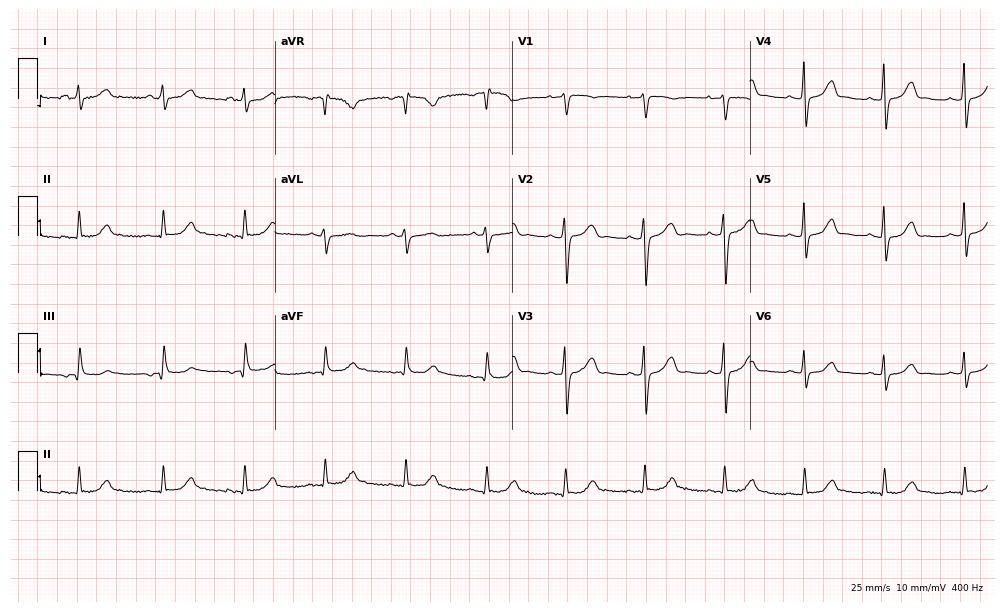
12-lead ECG (9.7-second recording at 400 Hz) from a female, 47 years old. Labelled as a normal ECG.